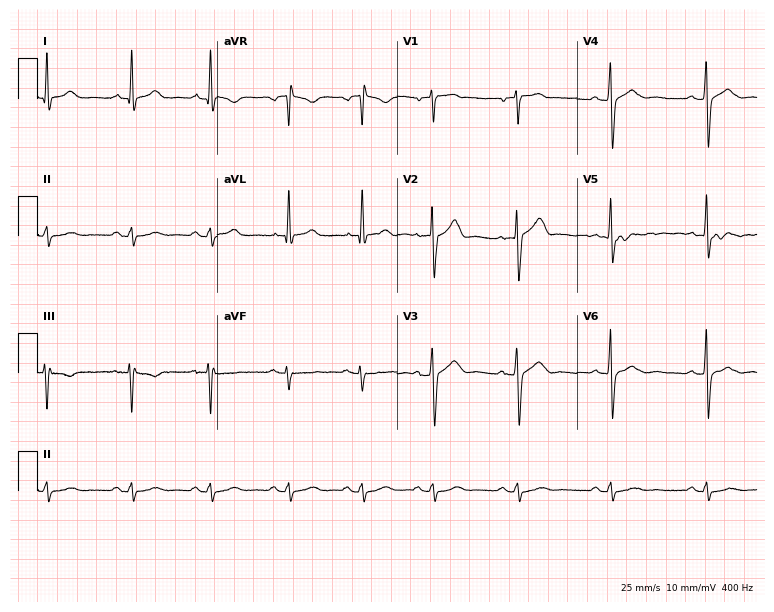
12-lead ECG from a man, 34 years old. No first-degree AV block, right bundle branch block (RBBB), left bundle branch block (LBBB), sinus bradycardia, atrial fibrillation (AF) or sinus tachycardia recorded for this tracing. Other findings, if any, are not listed.